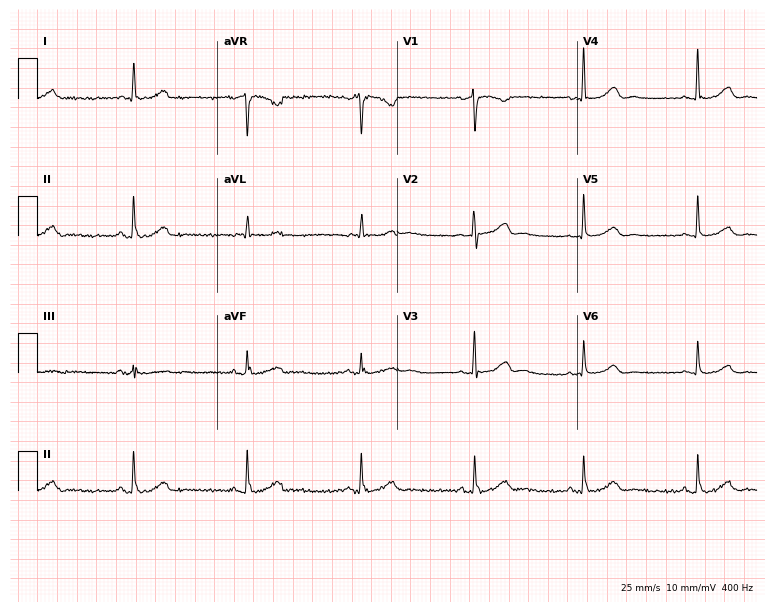
12-lead ECG from an 81-year-old woman. Recorded interpretation: within normal limits.